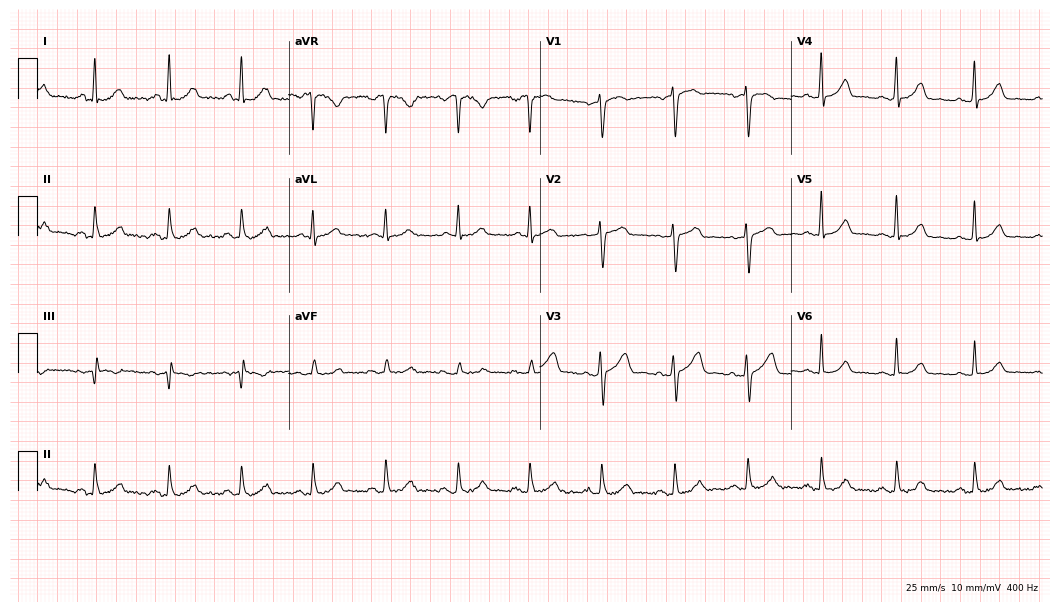
12-lead ECG from a female patient, 71 years old (10.2-second recording at 400 Hz). Recorded interpretation: within normal limits.